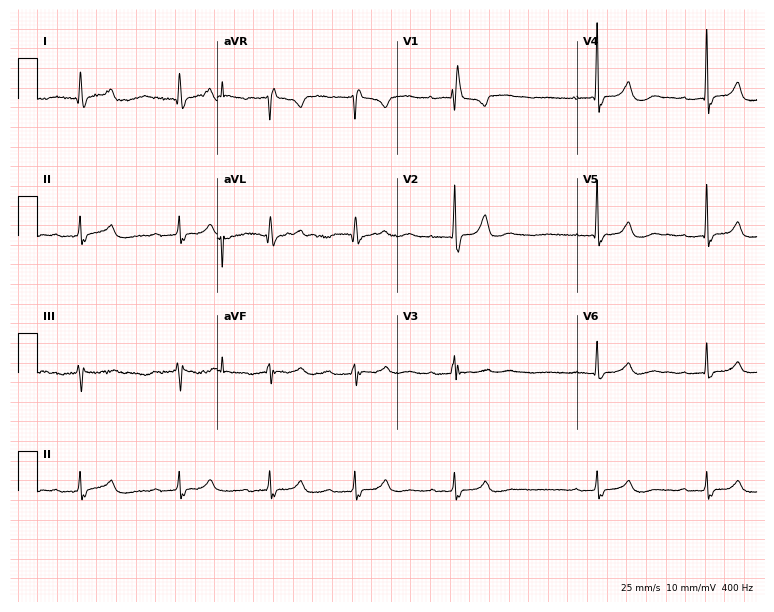
Electrocardiogram (7.3-second recording at 400 Hz), an 85-year-old woman. Of the six screened findings (first-degree AV block, right bundle branch block (RBBB), left bundle branch block (LBBB), sinus bradycardia, atrial fibrillation (AF), sinus tachycardia), none is recorded. Only these six findings were labelled.